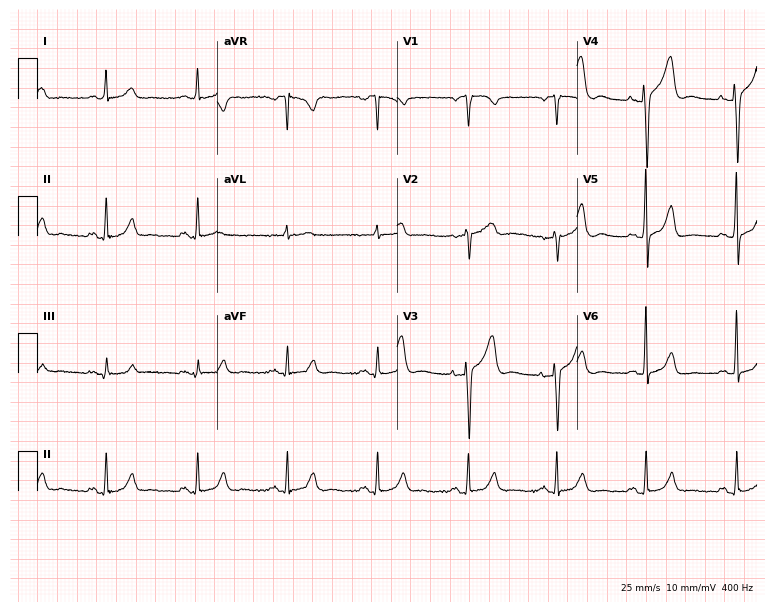
ECG — an 83-year-old female patient. Labelled as a normal ECG.